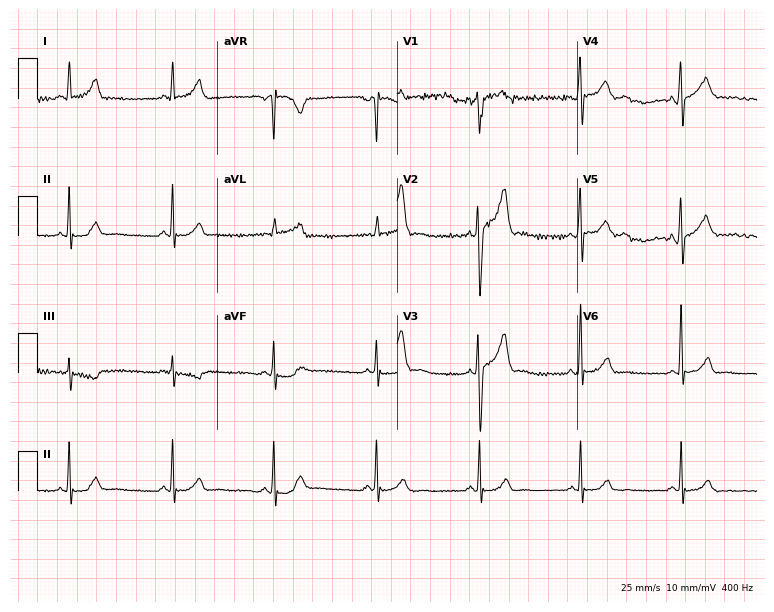
ECG — a male patient, 34 years old. Screened for six findings — first-degree AV block, right bundle branch block, left bundle branch block, sinus bradycardia, atrial fibrillation, sinus tachycardia — none is recorded. Only these six findings were labelled.